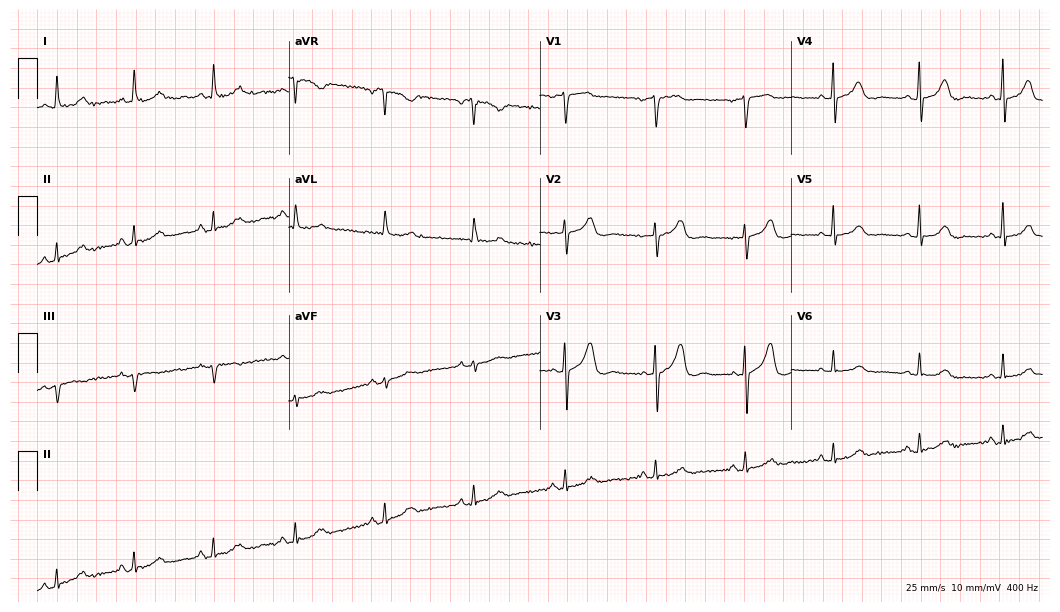
12-lead ECG (10.2-second recording at 400 Hz) from a female patient, 77 years old. Screened for six findings — first-degree AV block, right bundle branch block, left bundle branch block, sinus bradycardia, atrial fibrillation, sinus tachycardia — none is recorded. Only these six findings were labelled.